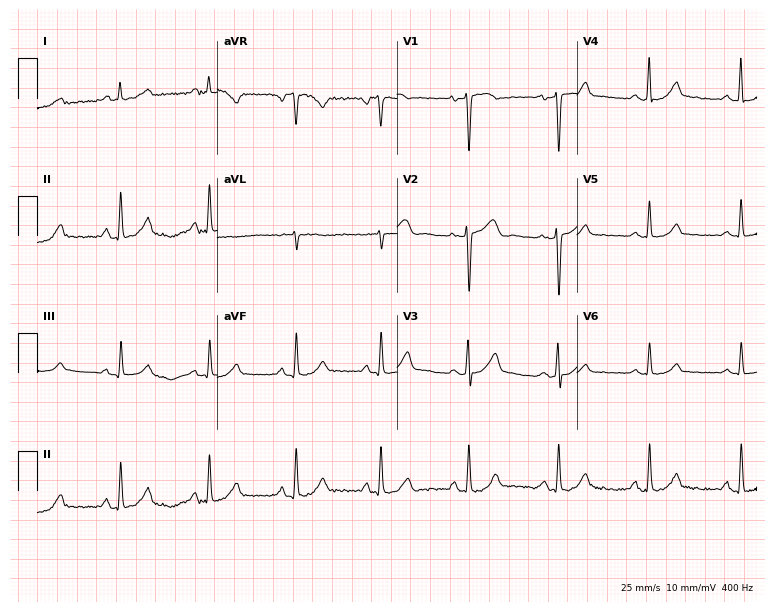
12-lead ECG from a woman, 39 years old. Screened for six findings — first-degree AV block, right bundle branch block (RBBB), left bundle branch block (LBBB), sinus bradycardia, atrial fibrillation (AF), sinus tachycardia — none is recorded. Findings outside these six are not listed.